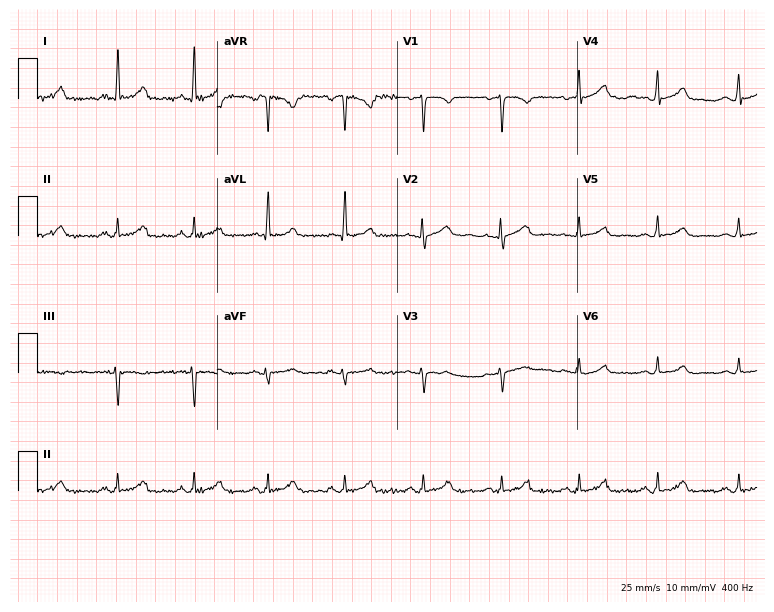
Electrocardiogram (7.3-second recording at 400 Hz), a 45-year-old female. Of the six screened findings (first-degree AV block, right bundle branch block, left bundle branch block, sinus bradycardia, atrial fibrillation, sinus tachycardia), none is recorded. Findings outside these six are not listed.